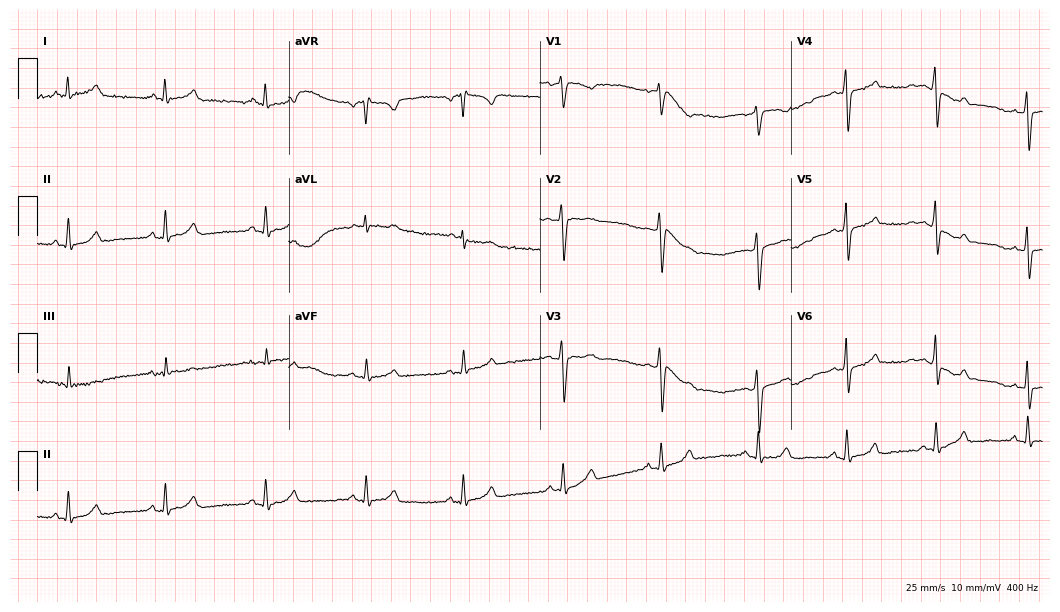
Standard 12-lead ECG recorded from a 42-year-old woman (10.2-second recording at 400 Hz). Read as a normal ECG.